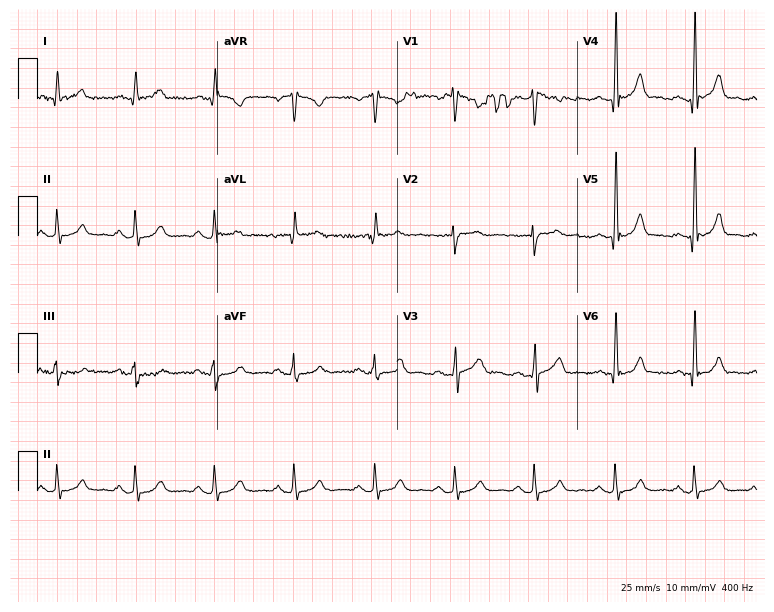
Standard 12-lead ECG recorded from a 25-year-old male. Read as a normal ECG.